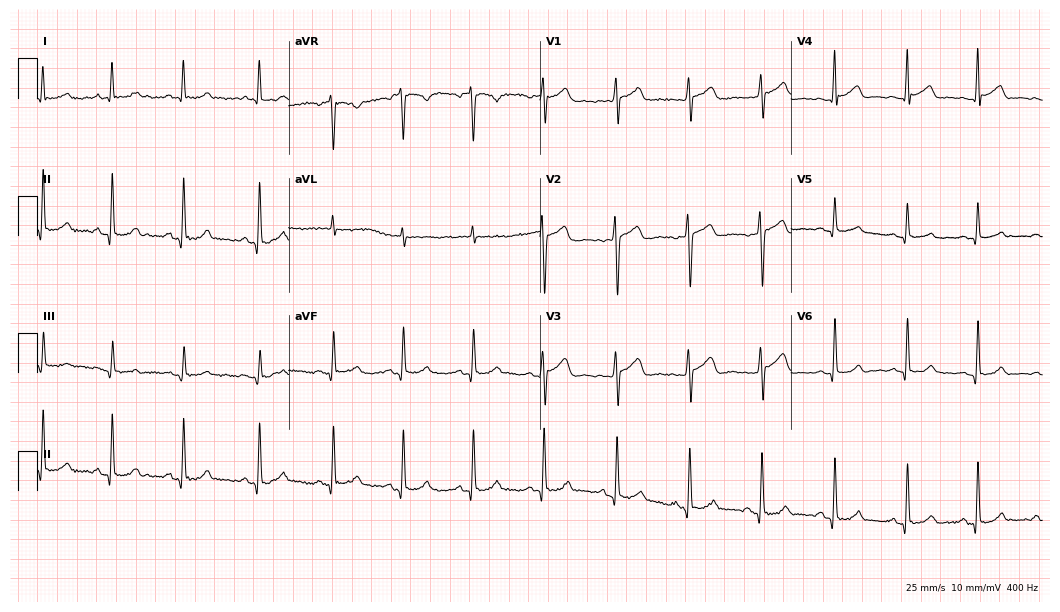
Electrocardiogram, a woman, 44 years old. Overall reading on record: normal ECG.